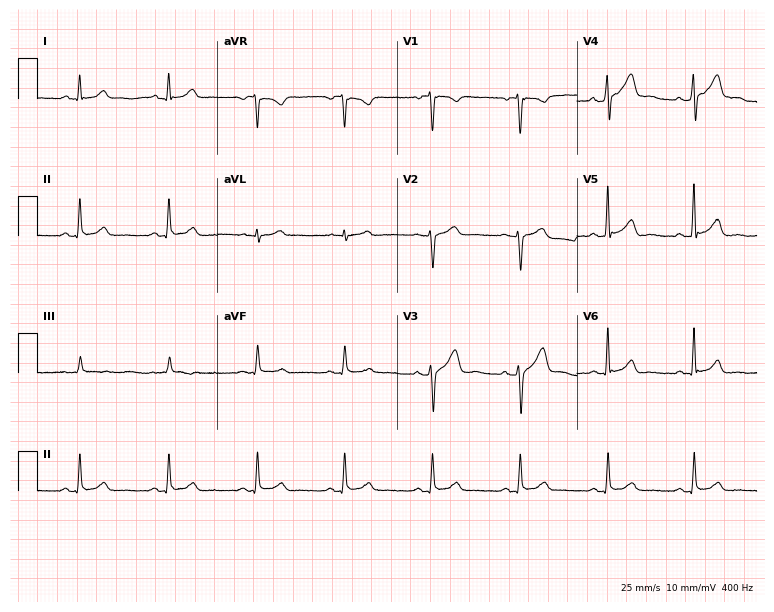
ECG — a 40-year-old man. Screened for six findings — first-degree AV block, right bundle branch block, left bundle branch block, sinus bradycardia, atrial fibrillation, sinus tachycardia — none is recorded. Only these six findings were labelled.